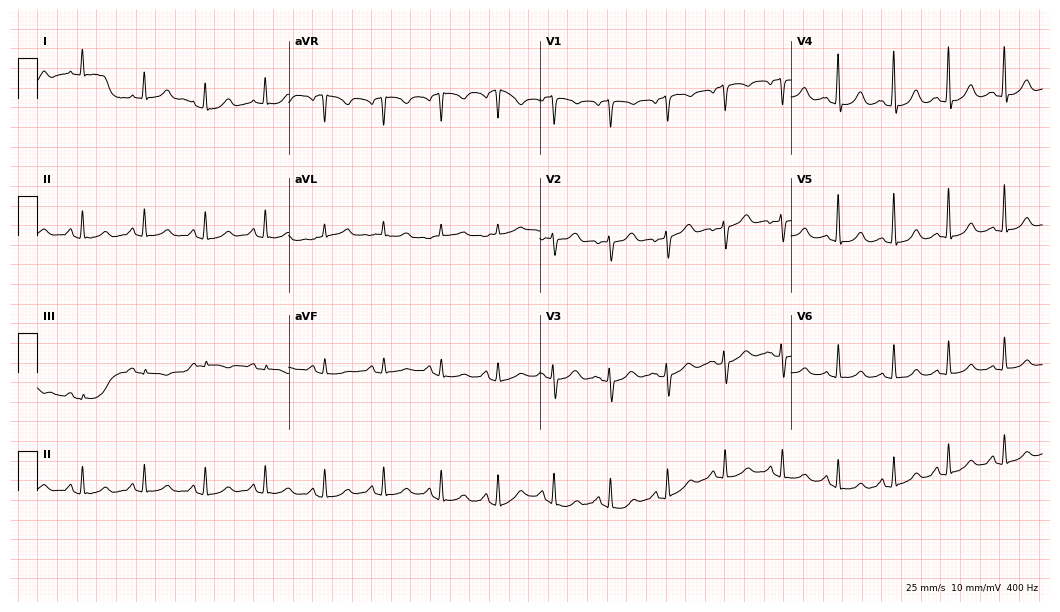
Standard 12-lead ECG recorded from a 50-year-old woman. Read as a normal ECG.